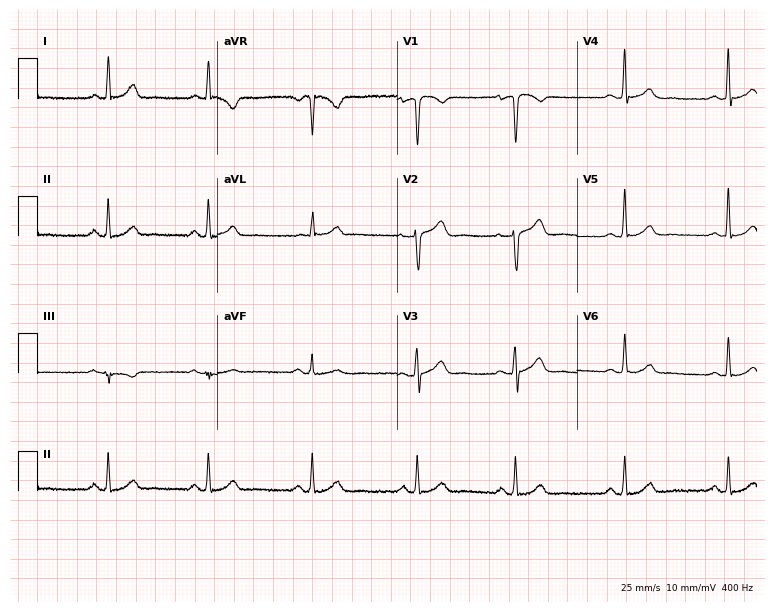
12-lead ECG from a 32-year-old male (7.3-second recording at 400 Hz). No first-degree AV block, right bundle branch block, left bundle branch block, sinus bradycardia, atrial fibrillation or sinus tachycardia recorded for this tracing.